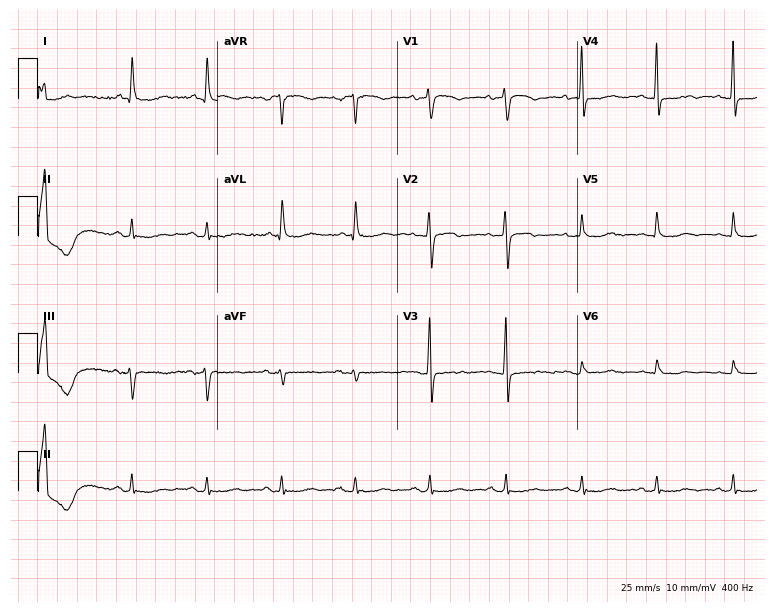
Electrocardiogram, a woman, 65 years old. Of the six screened findings (first-degree AV block, right bundle branch block, left bundle branch block, sinus bradycardia, atrial fibrillation, sinus tachycardia), none is recorded.